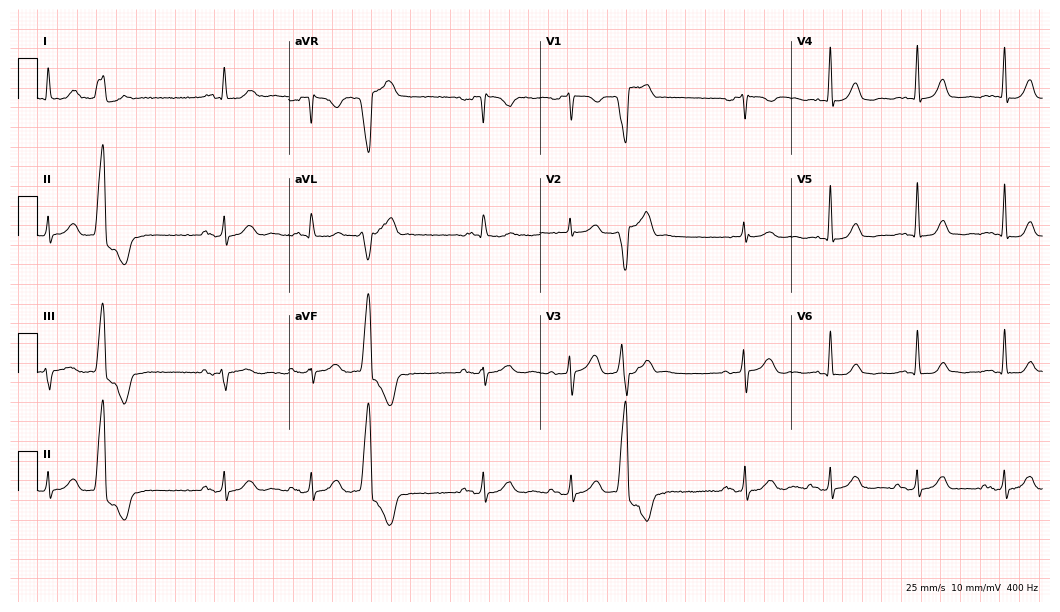
ECG — a woman, 84 years old. Screened for six findings — first-degree AV block, right bundle branch block, left bundle branch block, sinus bradycardia, atrial fibrillation, sinus tachycardia — none is recorded. Other findings, if any, are not listed.